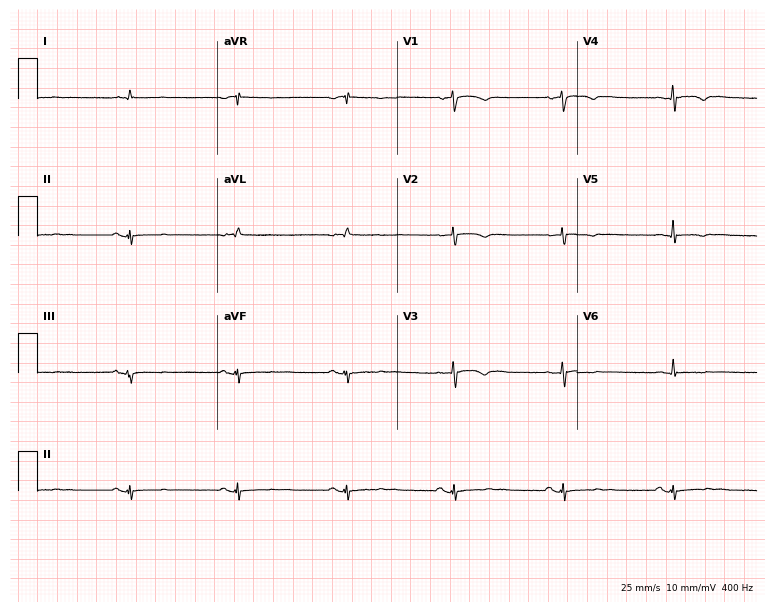
Standard 12-lead ECG recorded from an 83-year-old man (7.3-second recording at 400 Hz). None of these six findings is recorded: first-degree AV block, right bundle branch block, left bundle branch block, sinus bradycardia, atrial fibrillation, sinus tachycardia.